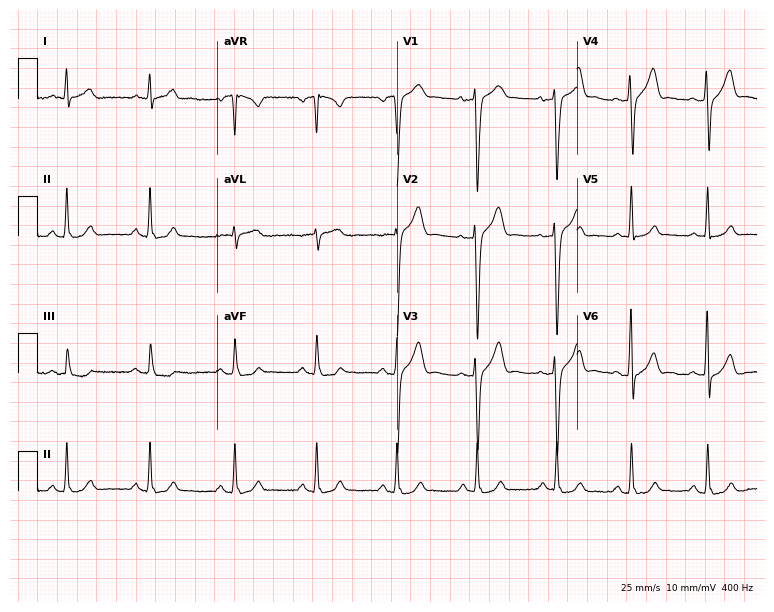
12-lead ECG from a man, 45 years old (7.3-second recording at 400 Hz). No first-degree AV block, right bundle branch block (RBBB), left bundle branch block (LBBB), sinus bradycardia, atrial fibrillation (AF) or sinus tachycardia recorded for this tracing. Findings outside these six are not listed.